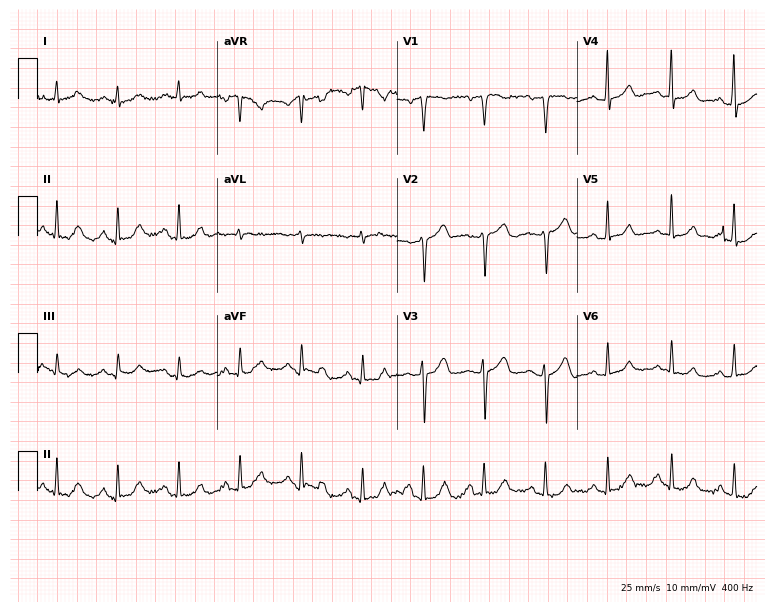
ECG (7.3-second recording at 400 Hz) — a 66-year-old female patient. Labelled as a normal ECG.